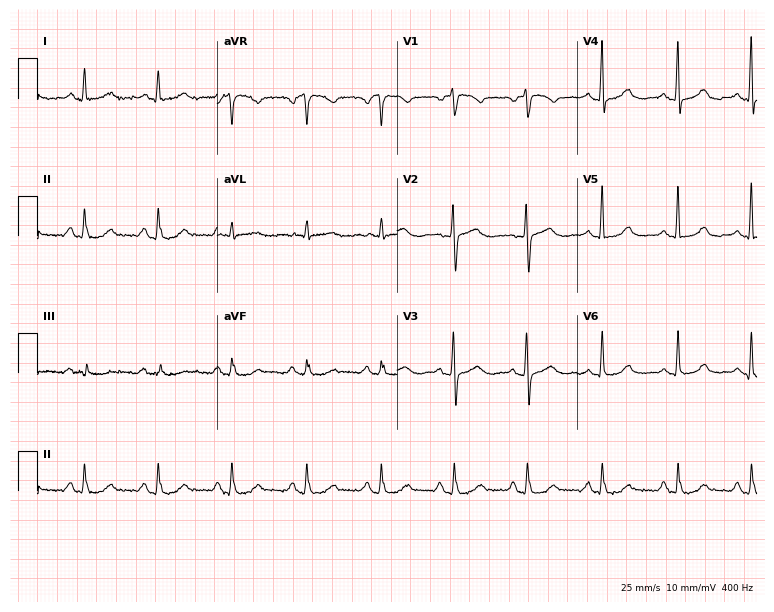
Electrocardiogram, a woman, 61 years old. Of the six screened findings (first-degree AV block, right bundle branch block, left bundle branch block, sinus bradycardia, atrial fibrillation, sinus tachycardia), none is recorded. Other findings, if any, are not listed.